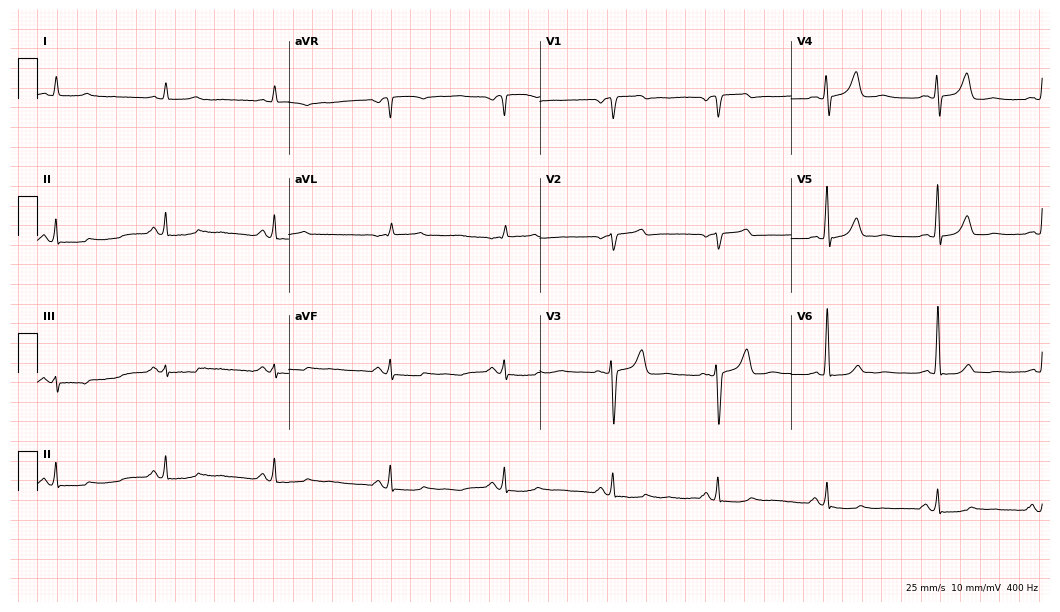
12-lead ECG from a 60-year-old man. Recorded interpretation: within normal limits.